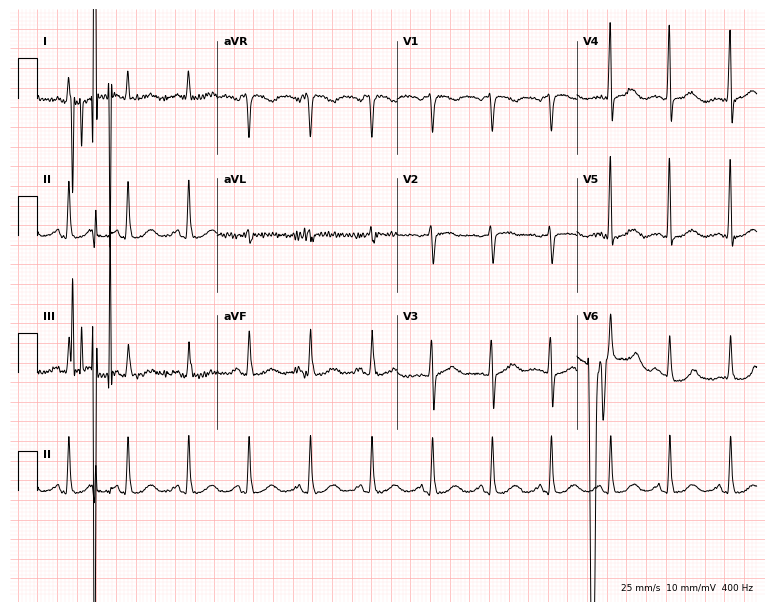
ECG — a female, 66 years old. Screened for six findings — first-degree AV block, right bundle branch block, left bundle branch block, sinus bradycardia, atrial fibrillation, sinus tachycardia — none is recorded.